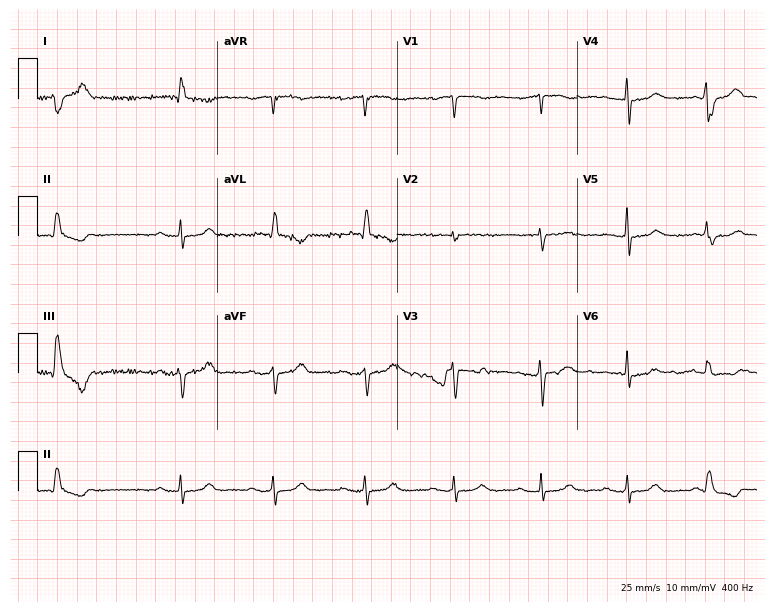
12-lead ECG (7.3-second recording at 400 Hz) from a male patient, 84 years old. Screened for six findings — first-degree AV block, right bundle branch block, left bundle branch block, sinus bradycardia, atrial fibrillation, sinus tachycardia — none is recorded. Other findings, if any, are not listed.